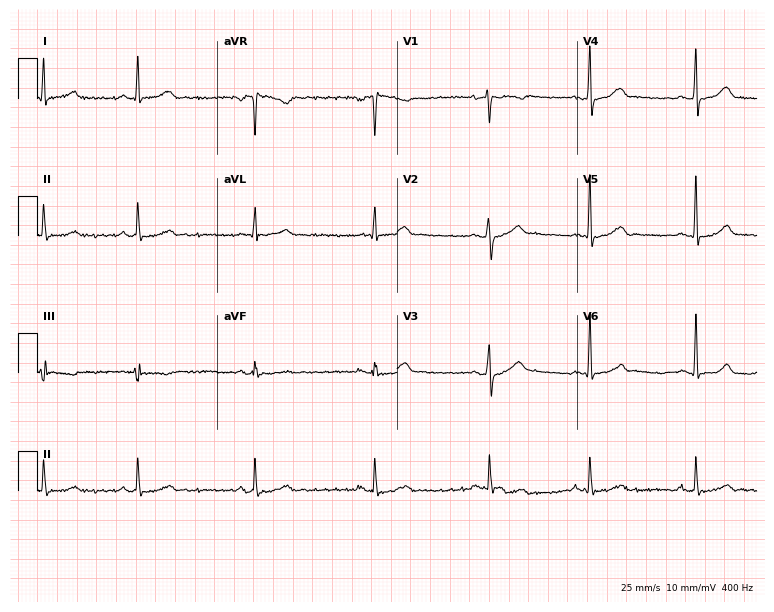
Resting 12-lead electrocardiogram (7.3-second recording at 400 Hz). Patient: a male, 34 years old. Read as a normal ECG.